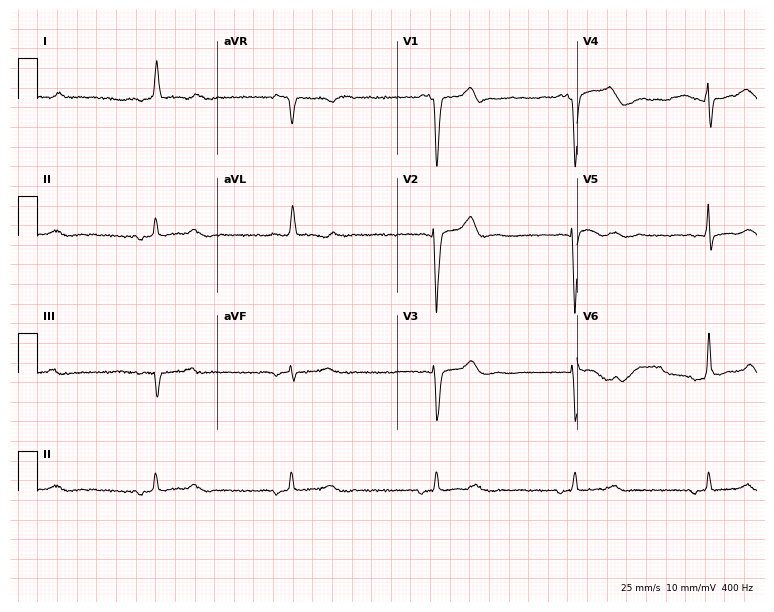
12-lead ECG from a 77-year-old man (7.3-second recording at 400 Hz). No first-degree AV block, right bundle branch block, left bundle branch block, sinus bradycardia, atrial fibrillation or sinus tachycardia recorded for this tracing. Findings outside these six are not listed.